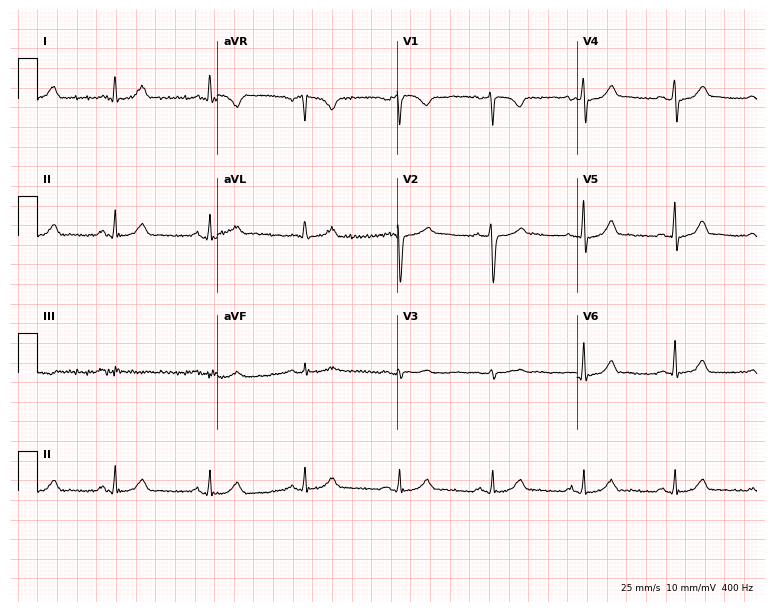
Resting 12-lead electrocardiogram (7.3-second recording at 400 Hz). Patient: a man, 50 years old. None of these six findings is recorded: first-degree AV block, right bundle branch block, left bundle branch block, sinus bradycardia, atrial fibrillation, sinus tachycardia. Only these six findings were labelled.